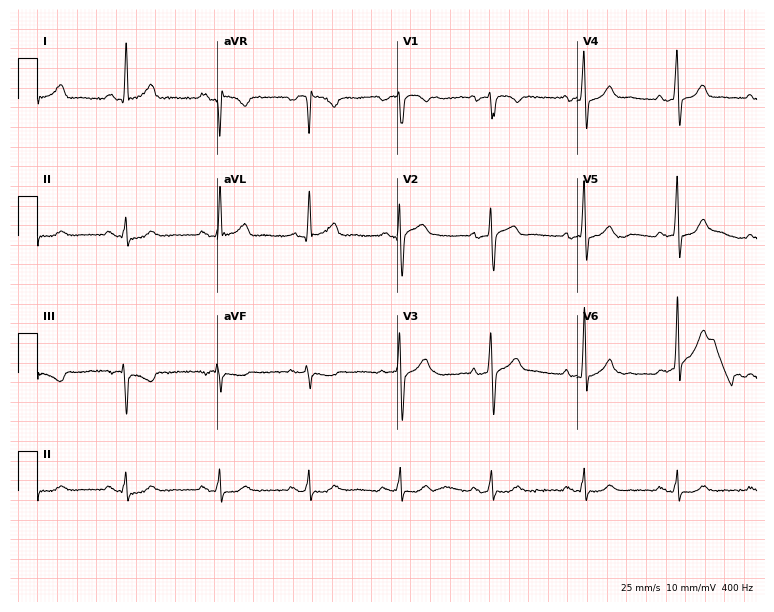
12-lead ECG from a 59-year-old man (7.3-second recording at 400 Hz). Recorded interpretation: within normal limits.